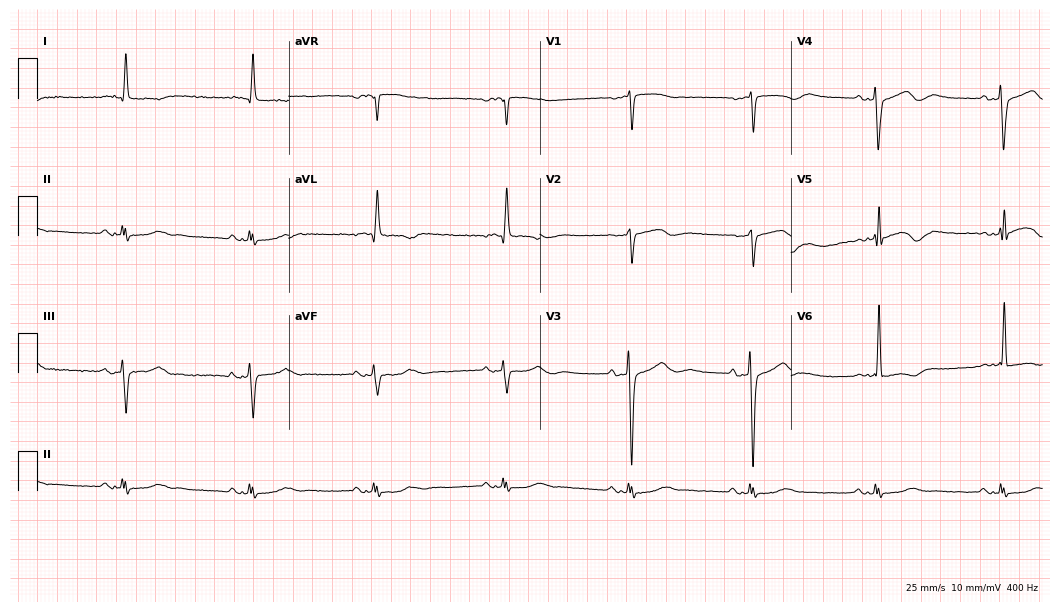
Electrocardiogram, a female patient, 67 years old. Interpretation includes sinus bradycardia (a sinus rate of 50 beats per minute or less).